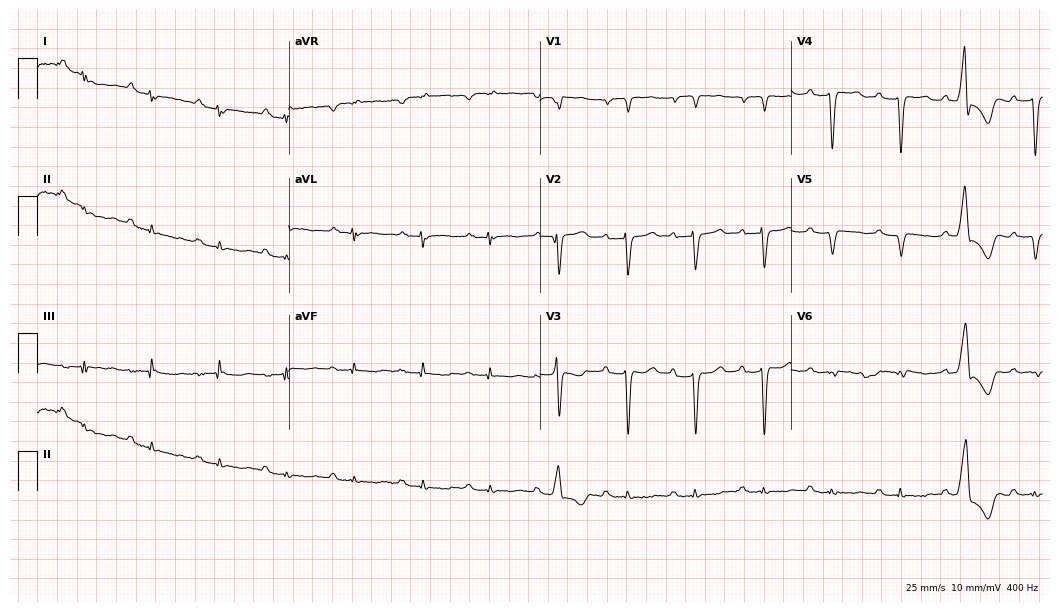
Standard 12-lead ECG recorded from a 48-year-old woman. None of these six findings is recorded: first-degree AV block, right bundle branch block (RBBB), left bundle branch block (LBBB), sinus bradycardia, atrial fibrillation (AF), sinus tachycardia. Other findings, if any, are not listed.